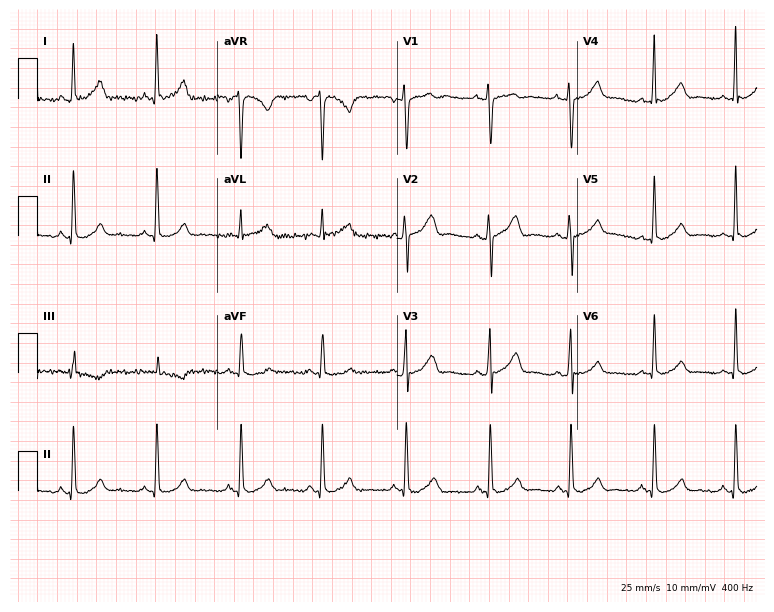
Standard 12-lead ECG recorded from a female patient, 37 years old (7.3-second recording at 400 Hz). Read as a normal ECG.